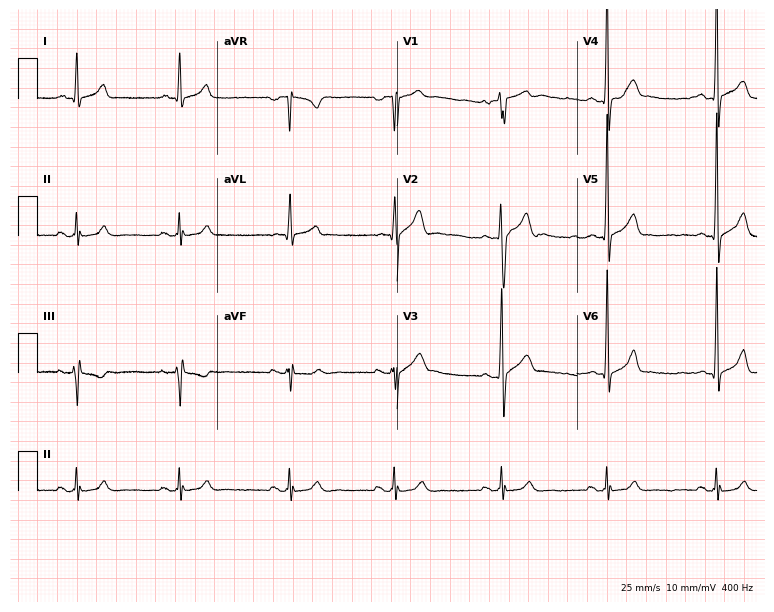
ECG (7.3-second recording at 400 Hz) — a 22-year-old male patient. Screened for six findings — first-degree AV block, right bundle branch block (RBBB), left bundle branch block (LBBB), sinus bradycardia, atrial fibrillation (AF), sinus tachycardia — none is recorded. Findings outside these six are not listed.